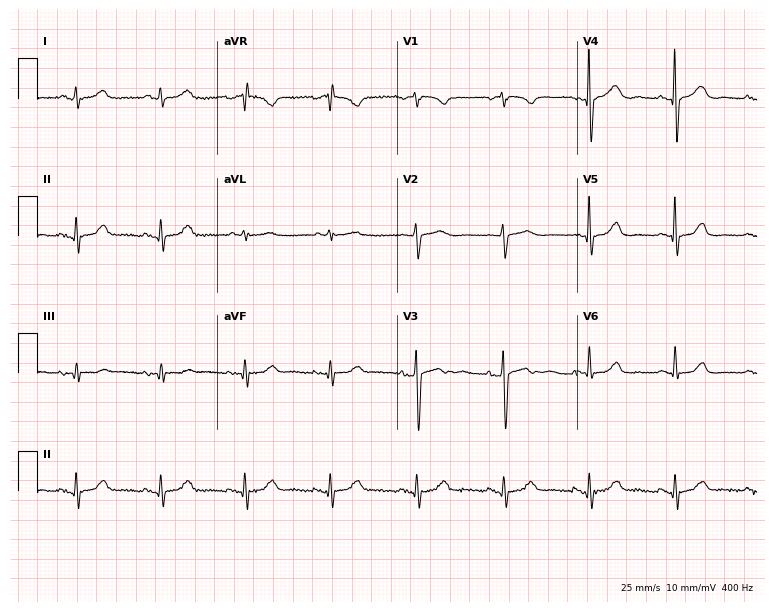
12-lead ECG (7.3-second recording at 400 Hz) from a 69-year-old woman. Labelled as a normal ECG.